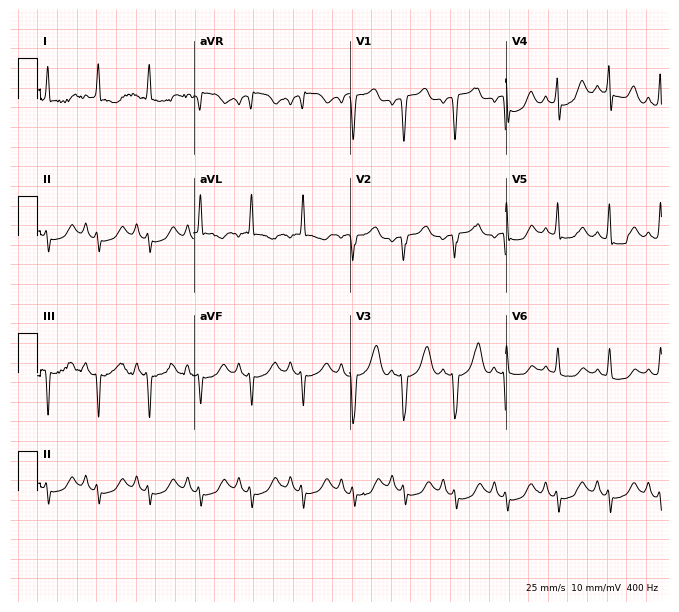
Electrocardiogram (6.4-second recording at 400 Hz), a woman, 80 years old. Interpretation includes sinus tachycardia (a sinus rate of 100 beats per minute or more).